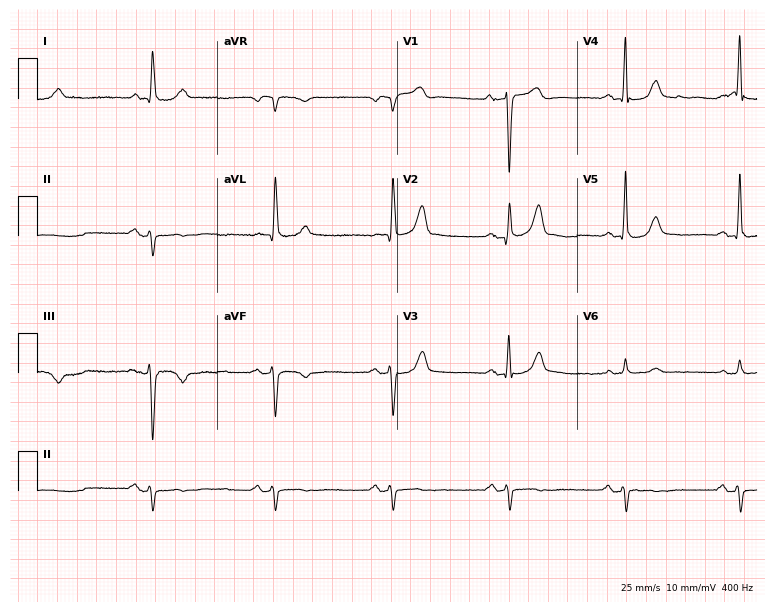
Electrocardiogram (7.3-second recording at 400 Hz), a man, 55 years old. Interpretation includes sinus bradycardia (a sinus rate of 50 beats per minute or less).